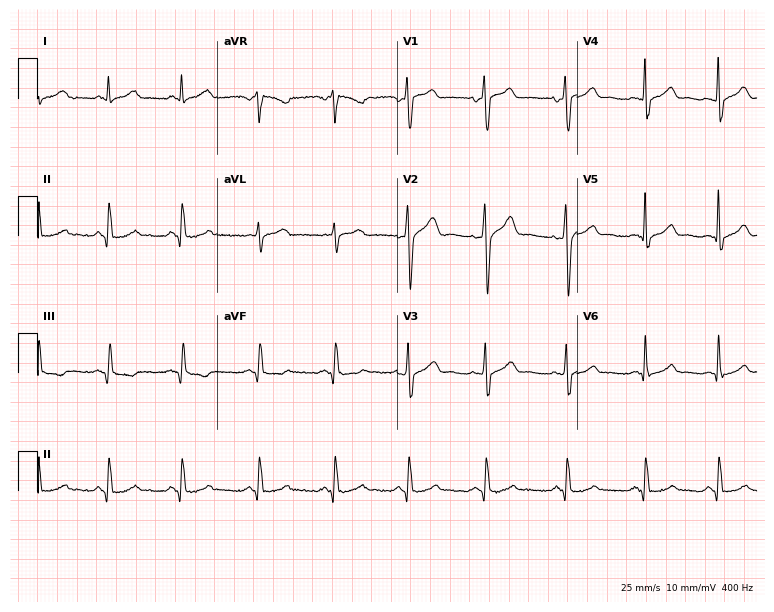
ECG — a male patient, 45 years old. Screened for six findings — first-degree AV block, right bundle branch block (RBBB), left bundle branch block (LBBB), sinus bradycardia, atrial fibrillation (AF), sinus tachycardia — none is recorded. Other findings, if any, are not listed.